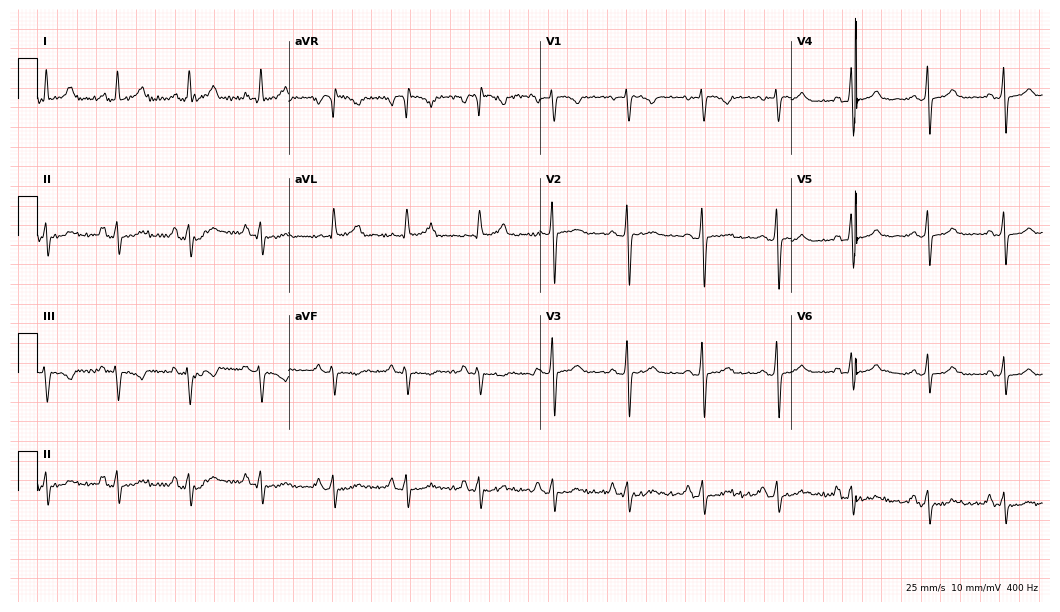
Resting 12-lead electrocardiogram. Patient: a female, 61 years old. None of these six findings is recorded: first-degree AV block, right bundle branch block, left bundle branch block, sinus bradycardia, atrial fibrillation, sinus tachycardia.